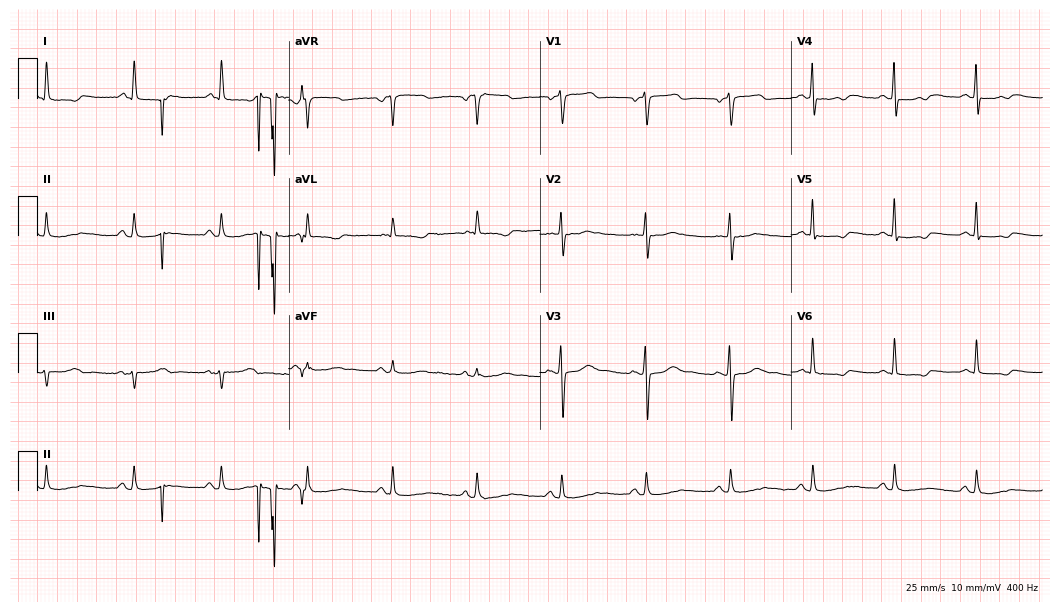
12-lead ECG from a 69-year-old female. No first-degree AV block, right bundle branch block (RBBB), left bundle branch block (LBBB), sinus bradycardia, atrial fibrillation (AF) or sinus tachycardia recorded for this tracing. Findings outside these six are not listed.